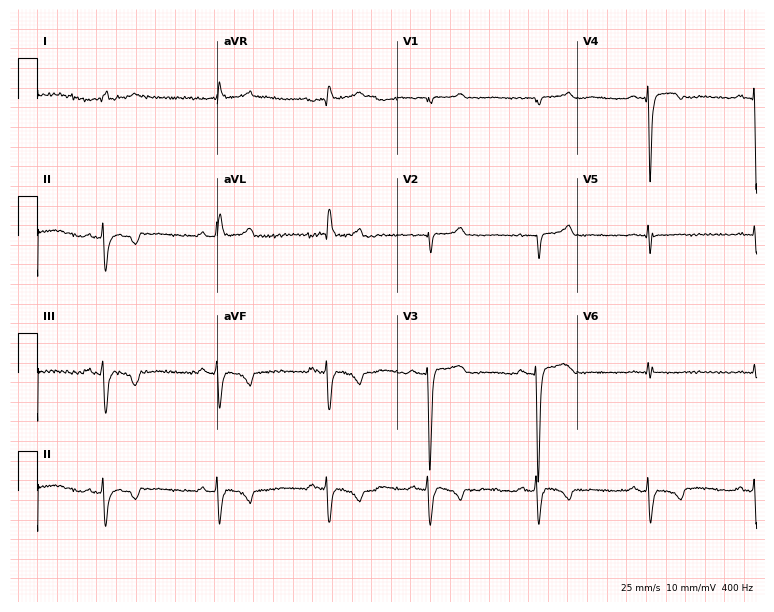
ECG (7.3-second recording at 400 Hz) — a man, 75 years old. Screened for six findings — first-degree AV block, right bundle branch block (RBBB), left bundle branch block (LBBB), sinus bradycardia, atrial fibrillation (AF), sinus tachycardia — none is recorded. Findings outside these six are not listed.